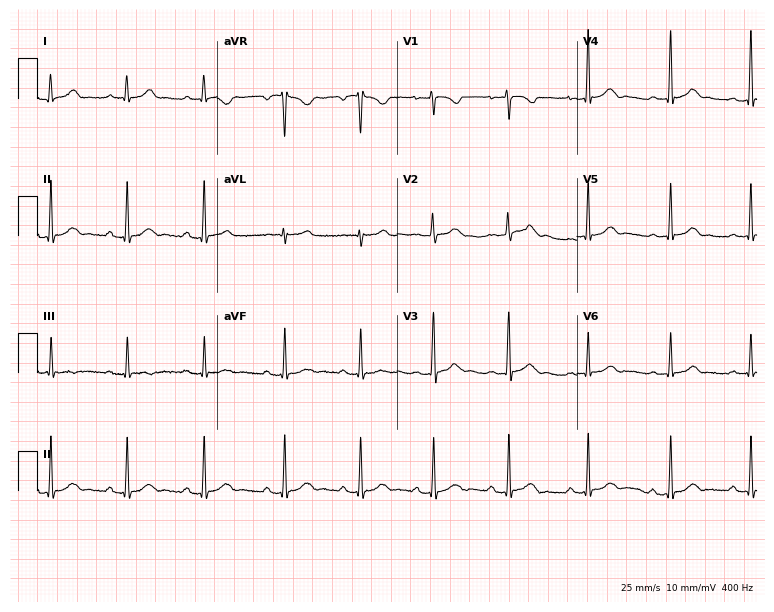
Electrocardiogram, a female, 17 years old. Overall reading on record: normal ECG.